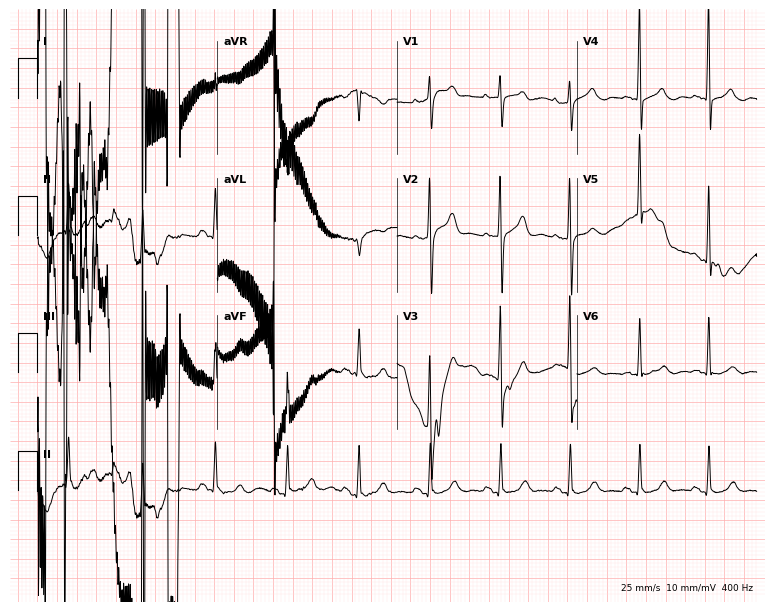
Electrocardiogram (7.3-second recording at 400 Hz), a man, 75 years old. Of the six screened findings (first-degree AV block, right bundle branch block, left bundle branch block, sinus bradycardia, atrial fibrillation, sinus tachycardia), none is recorded. Other findings, if any, are not listed.